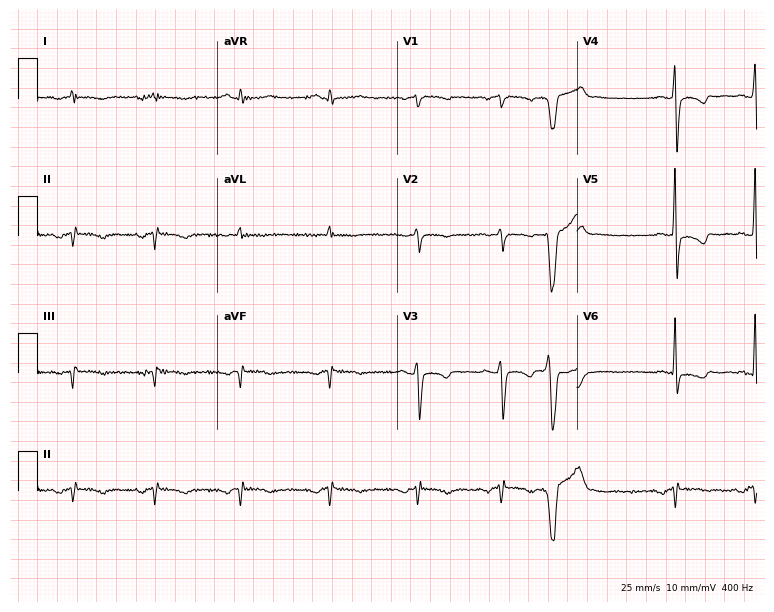
12-lead ECG (7.3-second recording at 400 Hz) from a woman, 51 years old. Screened for six findings — first-degree AV block, right bundle branch block (RBBB), left bundle branch block (LBBB), sinus bradycardia, atrial fibrillation (AF), sinus tachycardia — none is recorded.